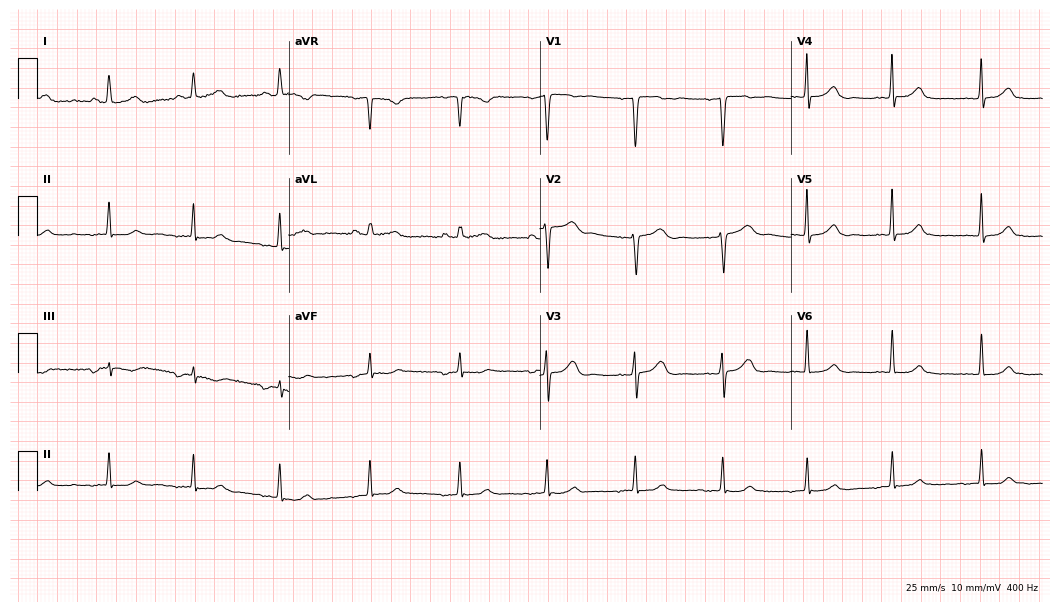
ECG (10.2-second recording at 400 Hz) — a 43-year-old woman. Labelled as a normal ECG.